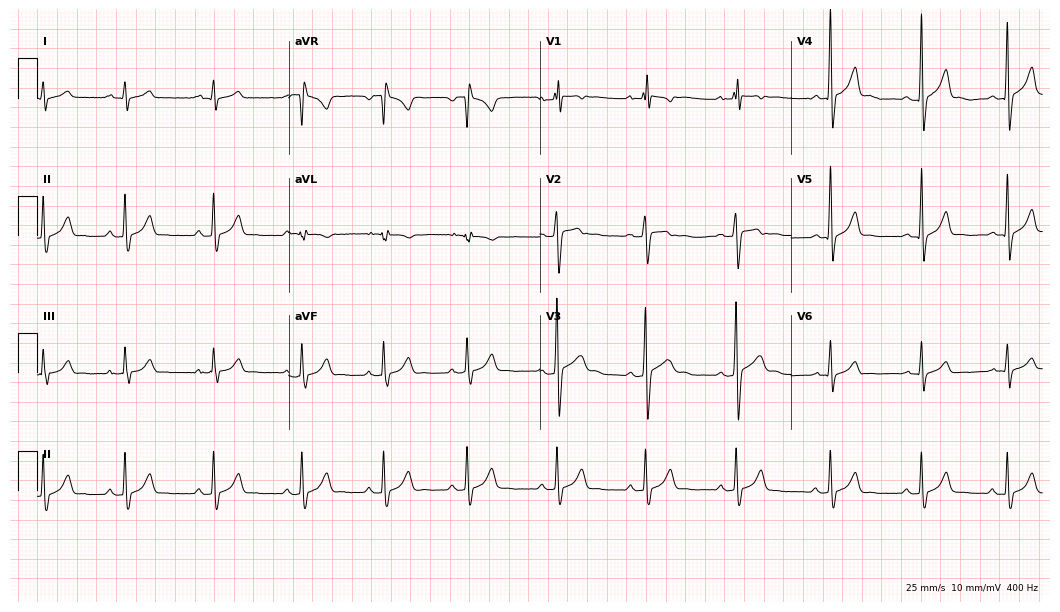
12-lead ECG from a male, 19 years old. Recorded interpretation: within normal limits.